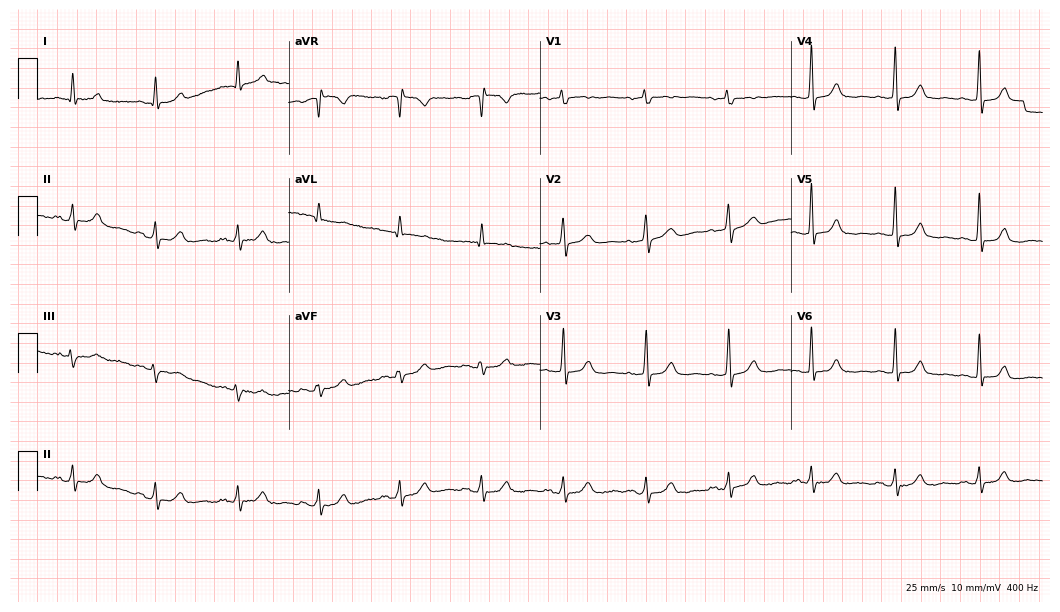
Resting 12-lead electrocardiogram (10.2-second recording at 400 Hz). Patient: a male, 61 years old. Read as a normal ECG.